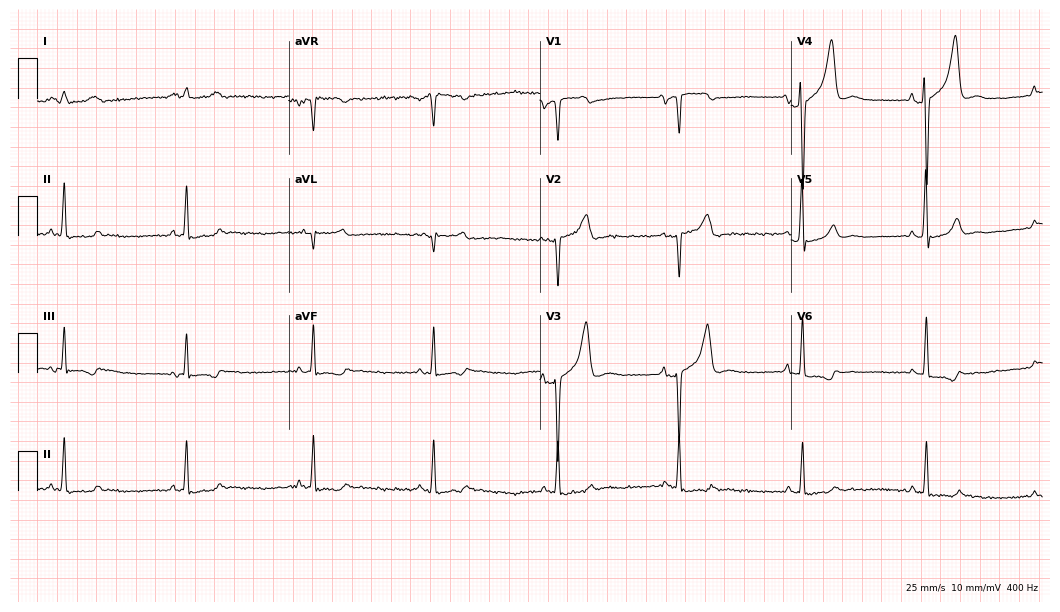
Electrocardiogram, a man, 38 years old. Of the six screened findings (first-degree AV block, right bundle branch block, left bundle branch block, sinus bradycardia, atrial fibrillation, sinus tachycardia), none is recorded.